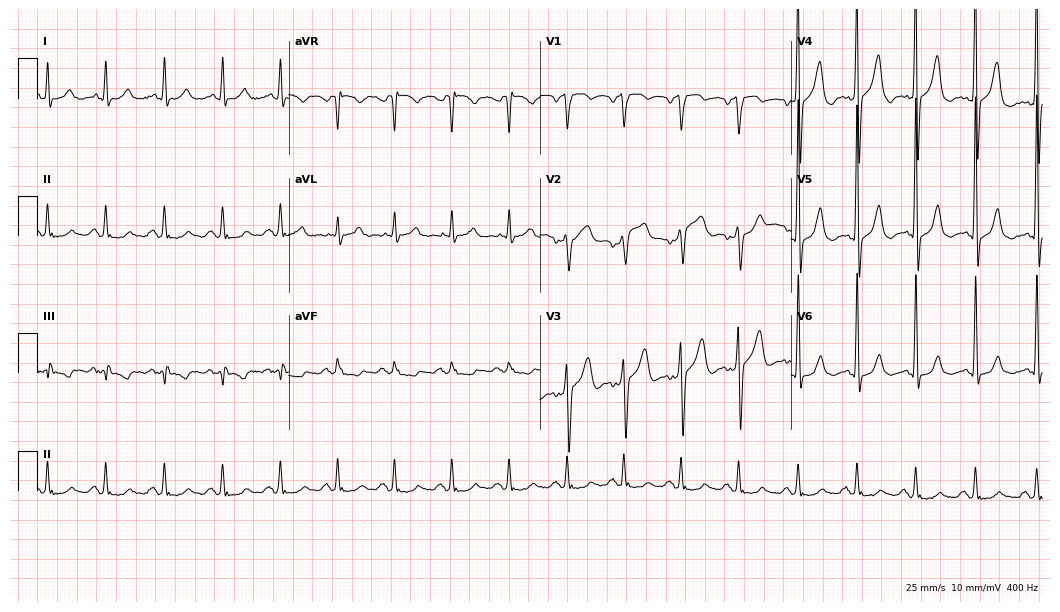
Standard 12-lead ECG recorded from a 45-year-old woman. None of these six findings is recorded: first-degree AV block, right bundle branch block, left bundle branch block, sinus bradycardia, atrial fibrillation, sinus tachycardia.